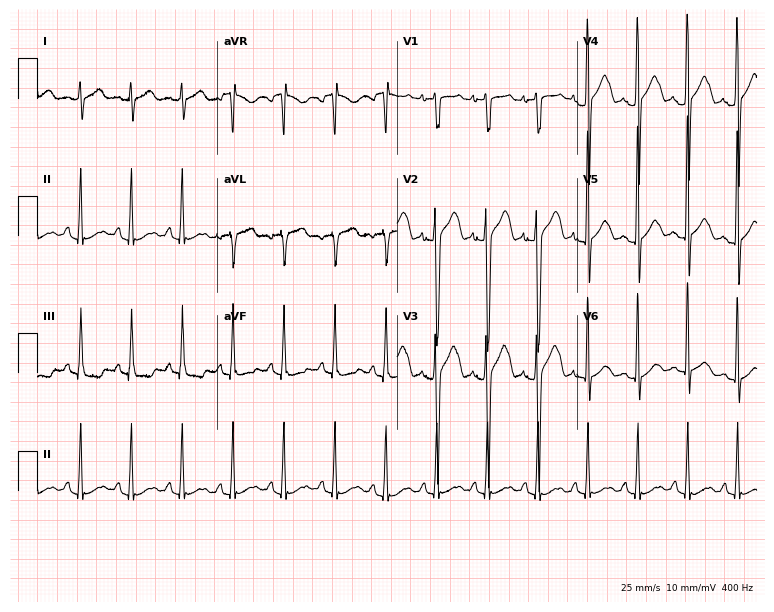
ECG — a male patient, 17 years old. Findings include sinus tachycardia (a sinus rate of 100 beats per minute or more).